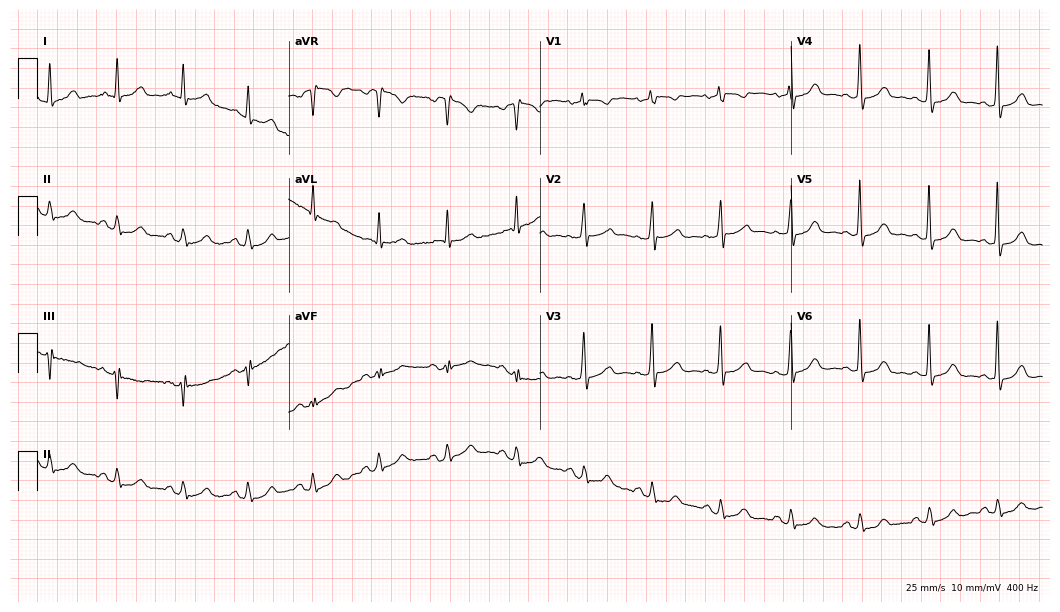
12-lead ECG from a female, 56 years old. Recorded interpretation: within normal limits.